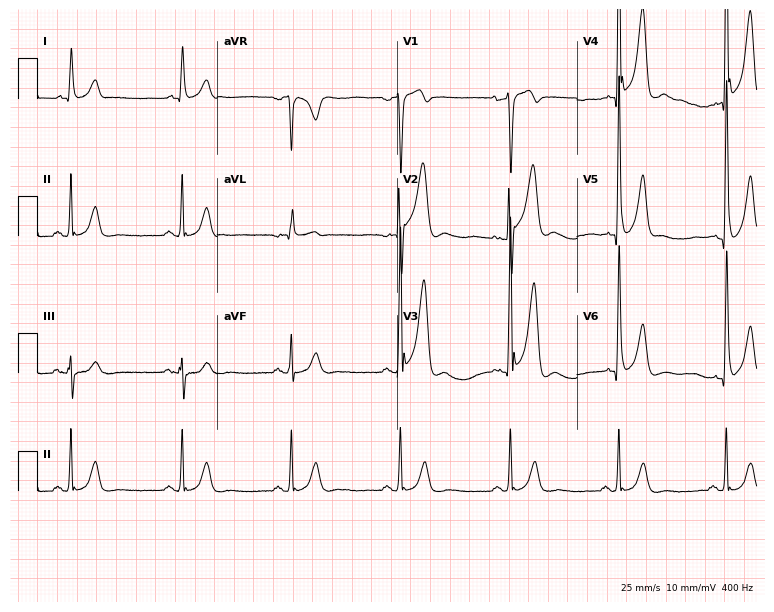
Standard 12-lead ECG recorded from a man, 51 years old (7.3-second recording at 400 Hz). None of these six findings is recorded: first-degree AV block, right bundle branch block, left bundle branch block, sinus bradycardia, atrial fibrillation, sinus tachycardia.